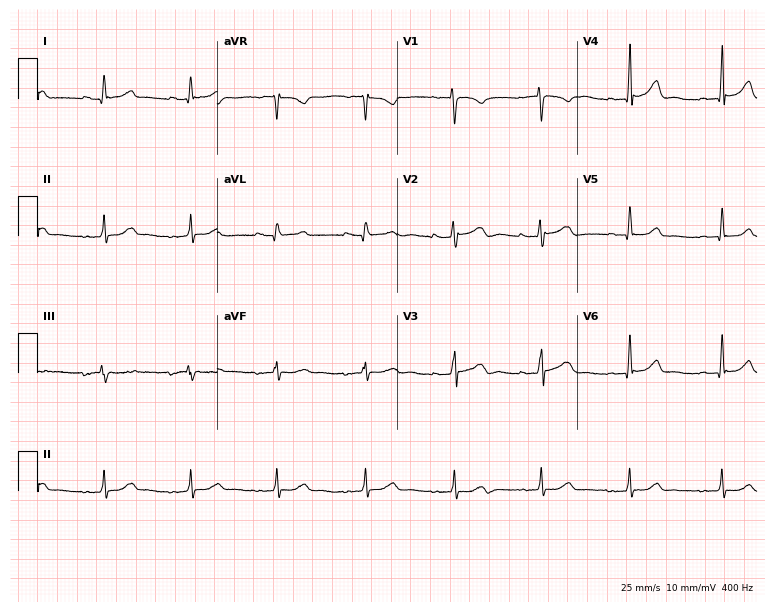
ECG — a 21-year-old female. Labelled as a normal ECG.